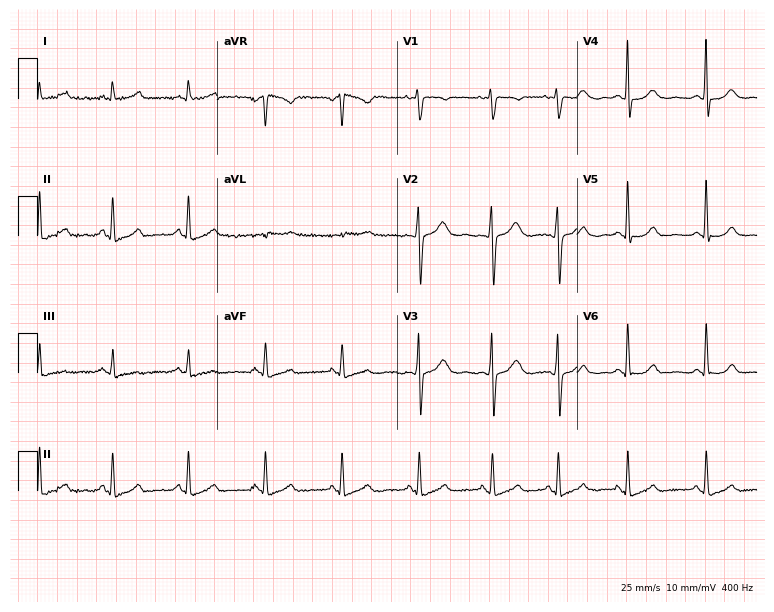
ECG (7.3-second recording at 400 Hz) — a woman, 40 years old. Labelled as a normal ECG.